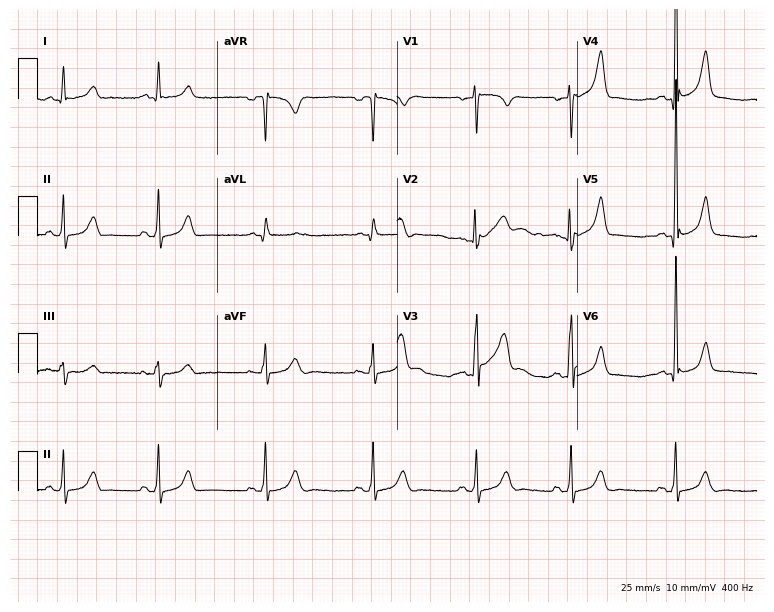
12-lead ECG from a 30-year-old male patient. No first-degree AV block, right bundle branch block, left bundle branch block, sinus bradycardia, atrial fibrillation or sinus tachycardia recorded for this tracing. Other findings, if any, are not listed.